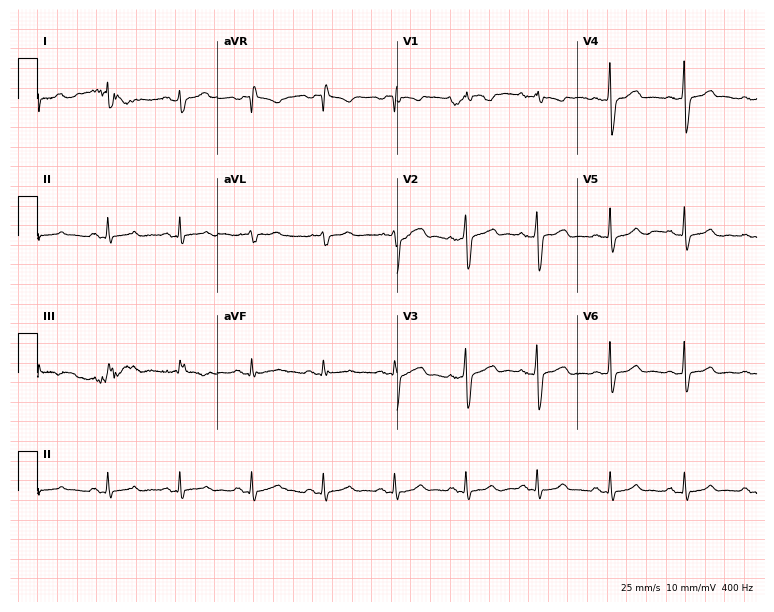
ECG — a male patient, 47 years old. Labelled as a normal ECG.